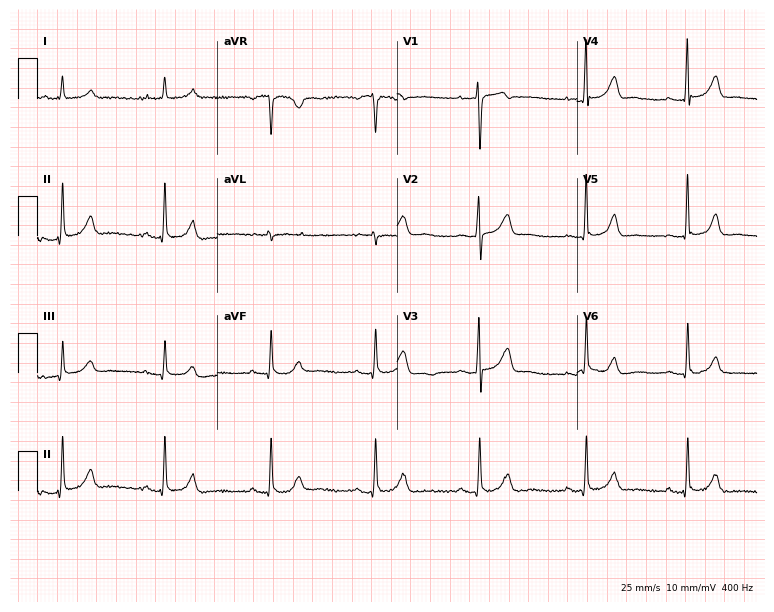
12-lead ECG from a 33-year-old woman (7.3-second recording at 400 Hz). Recorded interpretation: within normal limits.